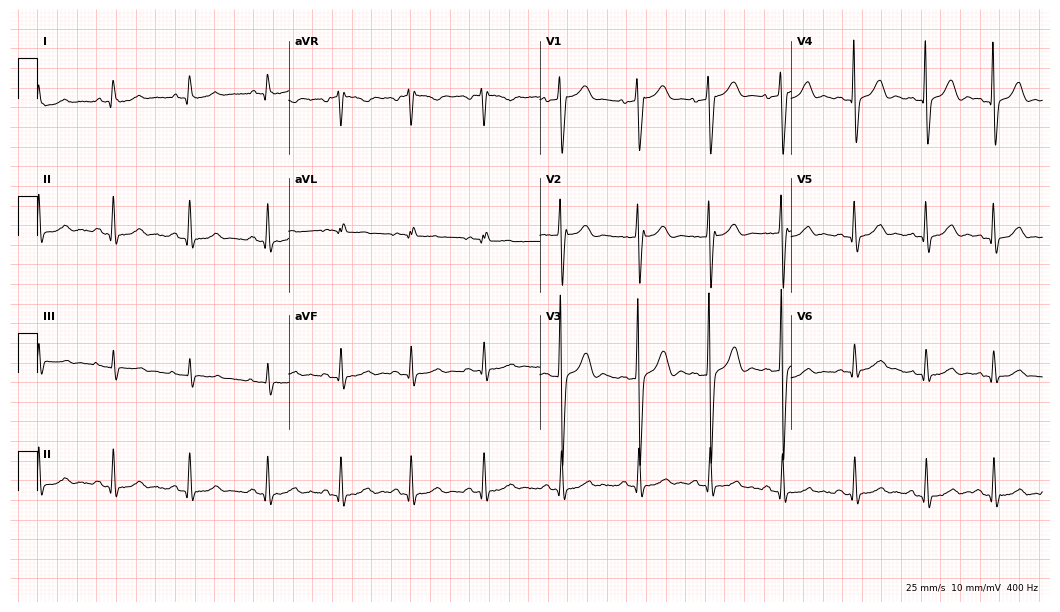
ECG — a 43-year-old male patient. Labelled as a normal ECG.